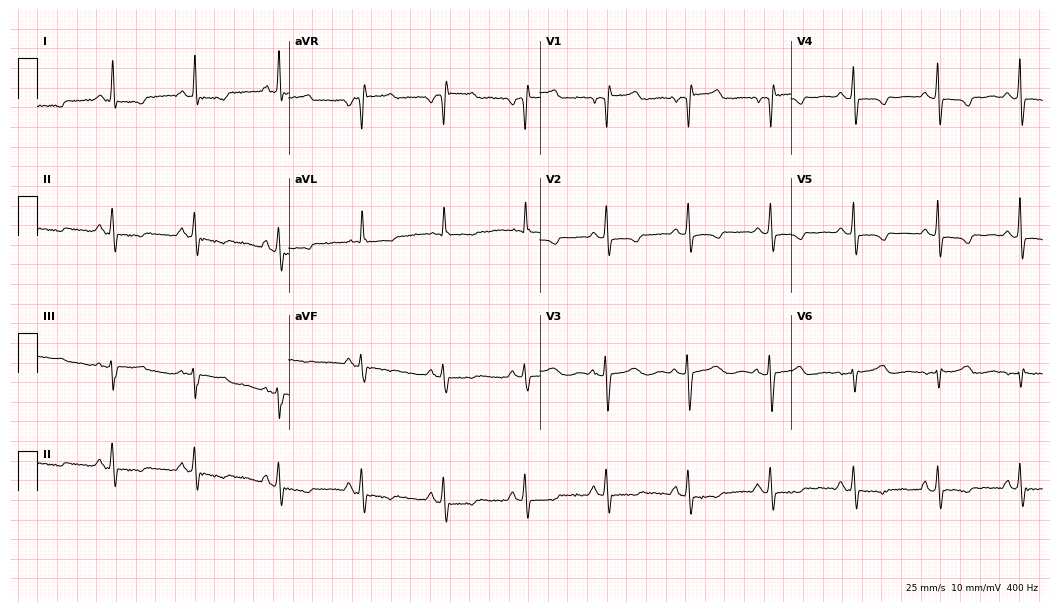
Resting 12-lead electrocardiogram. Patient: a woman, 60 years old. None of these six findings is recorded: first-degree AV block, right bundle branch block, left bundle branch block, sinus bradycardia, atrial fibrillation, sinus tachycardia.